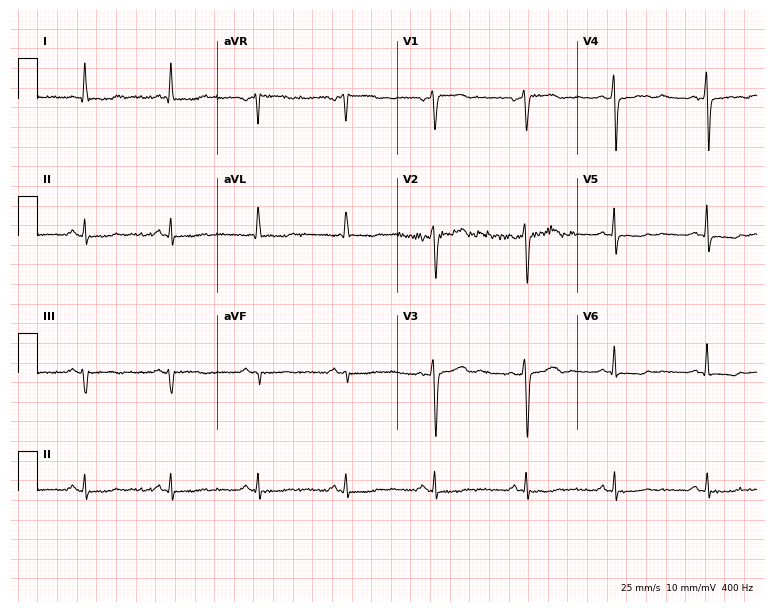
Electrocardiogram (7.3-second recording at 400 Hz), a 48-year-old man. Of the six screened findings (first-degree AV block, right bundle branch block (RBBB), left bundle branch block (LBBB), sinus bradycardia, atrial fibrillation (AF), sinus tachycardia), none is recorded.